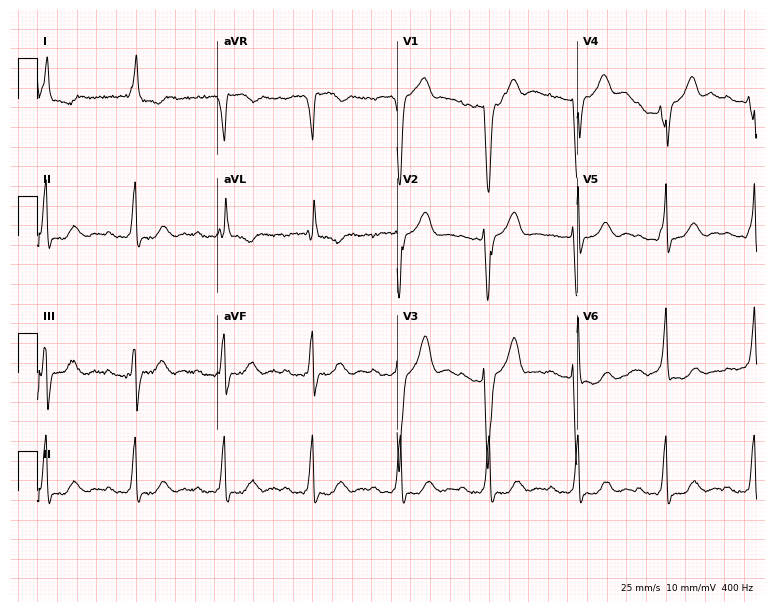
Standard 12-lead ECG recorded from a female, 78 years old. The tracing shows first-degree AV block, left bundle branch block.